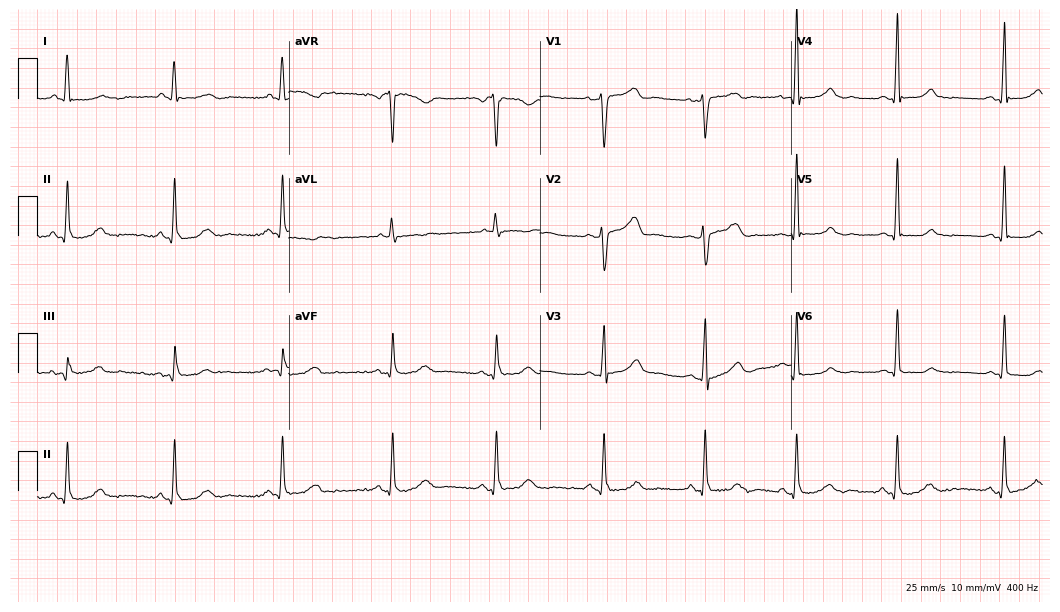
ECG — a female patient, 55 years old. Labelled as a normal ECG.